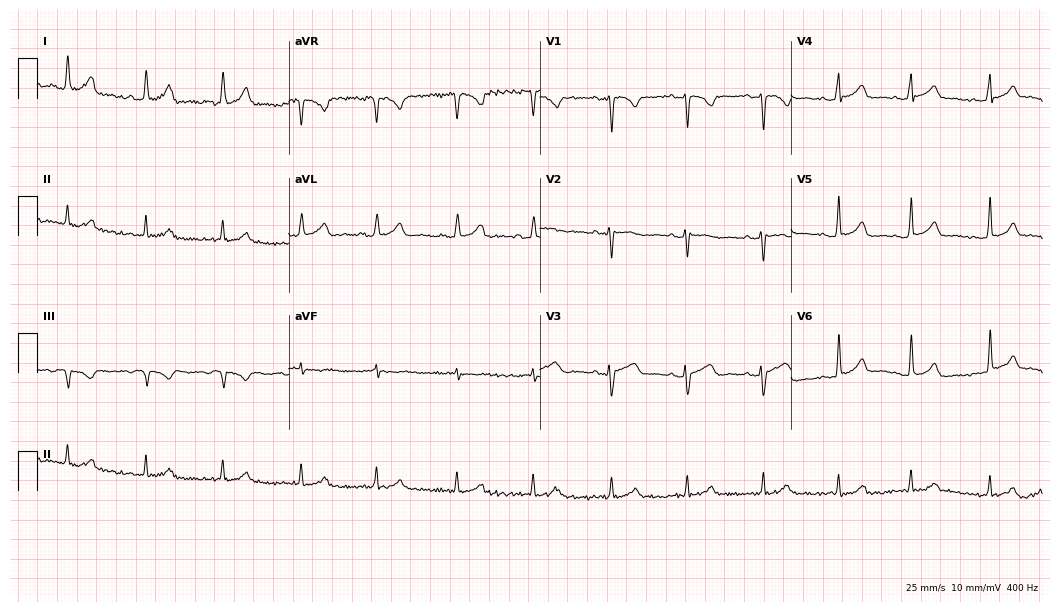
Standard 12-lead ECG recorded from a 21-year-old female patient (10.2-second recording at 400 Hz). Read as a normal ECG.